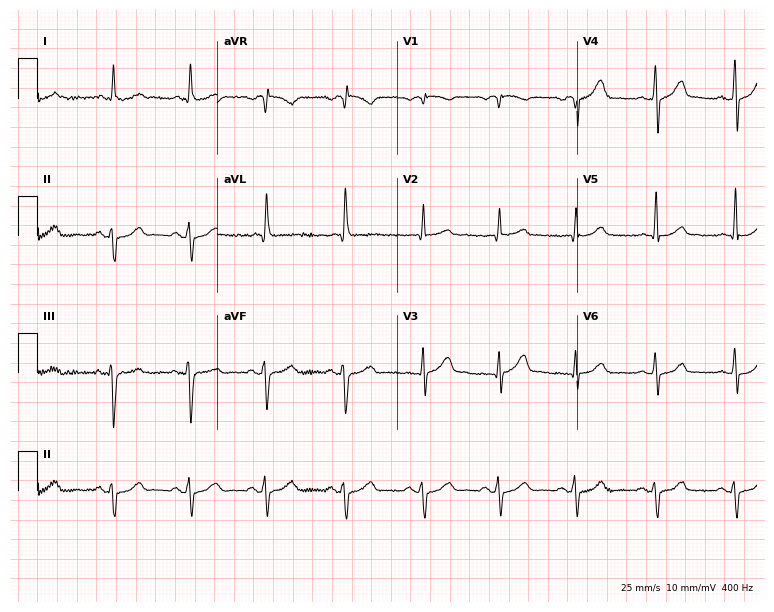
12-lead ECG from a 67-year-old male patient. No first-degree AV block, right bundle branch block, left bundle branch block, sinus bradycardia, atrial fibrillation or sinus tachycardia recorded for this tracing. Other findings, if any, are not listed.